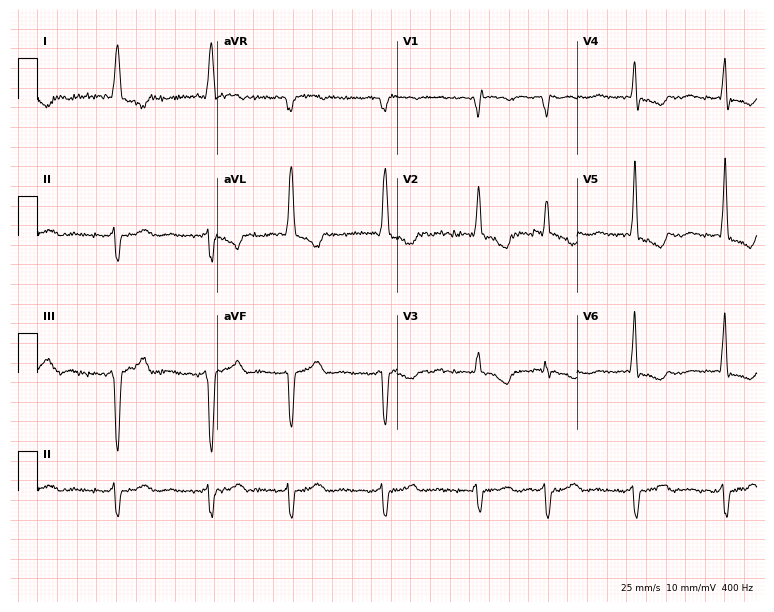
Standard 12-lead ECG recorded from a female patient, 76 years old (7.3-second recording at 400 Hz). The tracing shows atrial fibrillation.